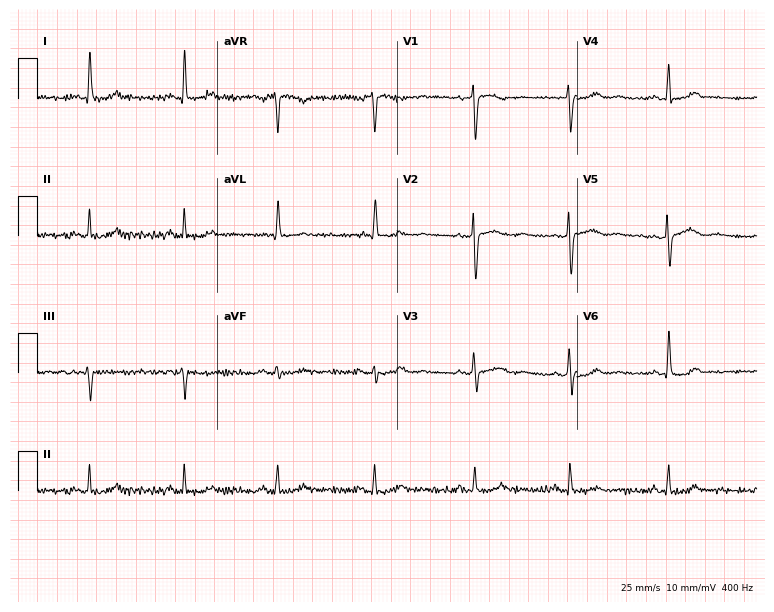
ECG (7.3-second recording at 400 Hz) — a 54-year-old female. Screened for six findings — first-degree AV block, right bundle branch block, left bundle branch block, sinus bradycardia, atrial fibrillation, sinus tachycardia — none is recorded. Only these six findings were labelled.